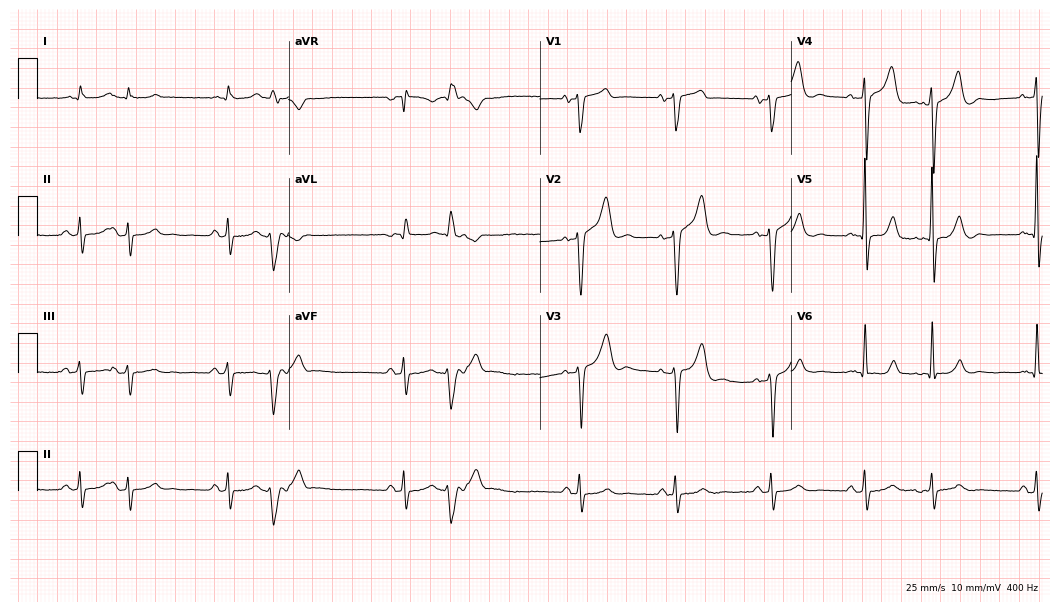
Resting 12-lead electrocardiogram. Patient: a male, 73 years old. None of these six findings is recorded: first-degree AV block, right bundle branch block, left bundle branch block, sinus bradycardia, atrial fibrillation, sinus tachycardia.